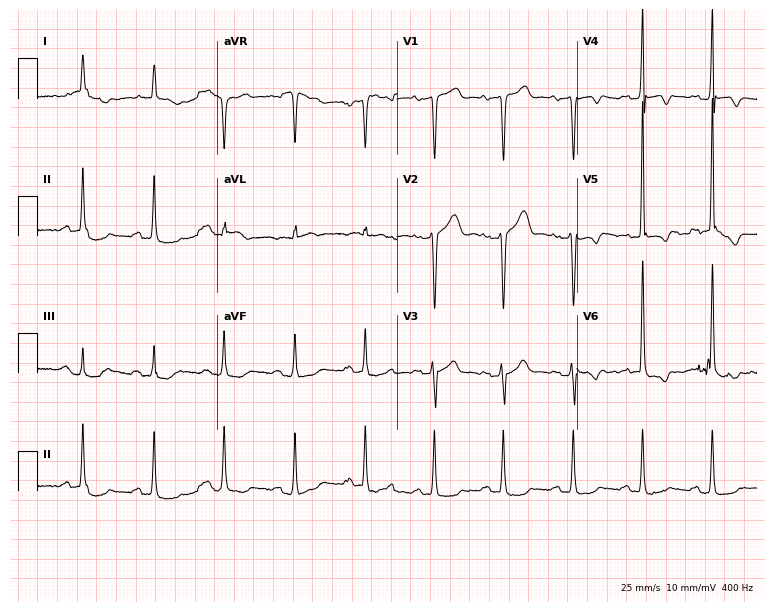
Electrocardiogram (7.3-second recording at 400 Hz), a male patient, 73 years old. Of the six screened findings (first-degree AV block, right bundle branch block, left bundle branch block, sinus bradycardia, atrial fibrillation, sinus tachycardia), none is recorded. Other findings, if any, are not listed.